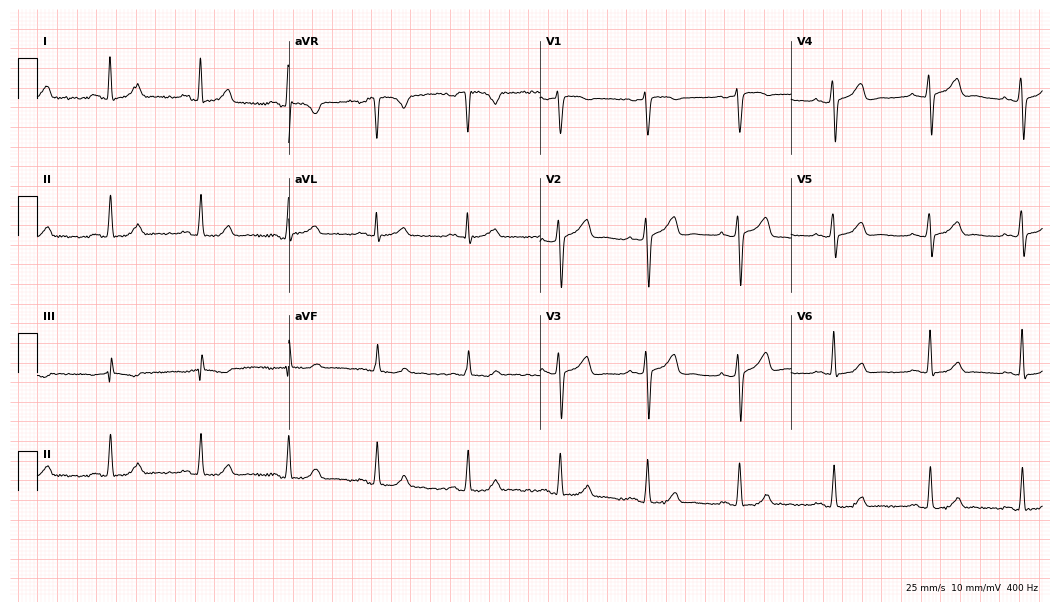
12-lead ECG from a 34-year-old female. No first-degree AV block, right bundle branch block (RBBB), left bundle branch block (LBBB), sinus bradycardia, atrial fibrillation (AF) or sinus tachycardia recorded for this tracing. Other findings, if any, are not listed.